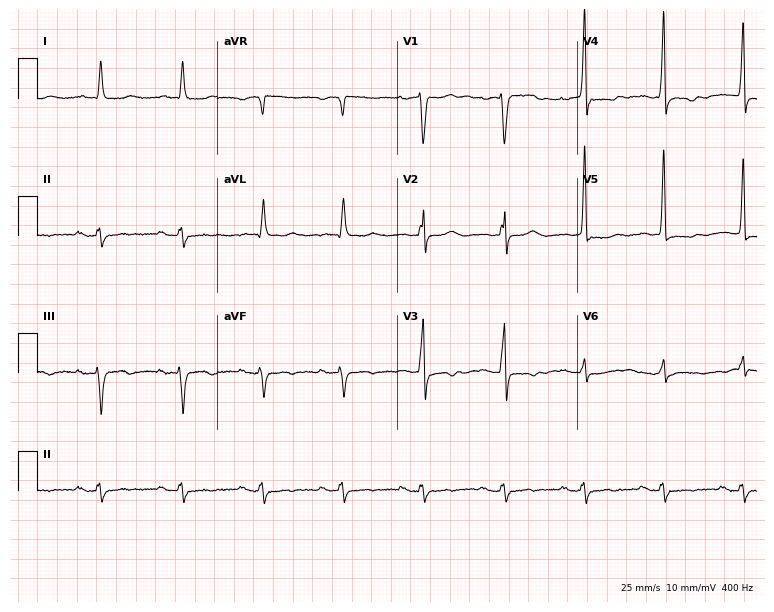
12-lead ECG from a male patient, 70 years old. Screened for six findings — first-degree AV block, right bundle branch block (RBBB), left bundle branch block (LBBB), sinus bradycardia, atrial fibrillation (AF), sinus tachycardia — none is recorded.